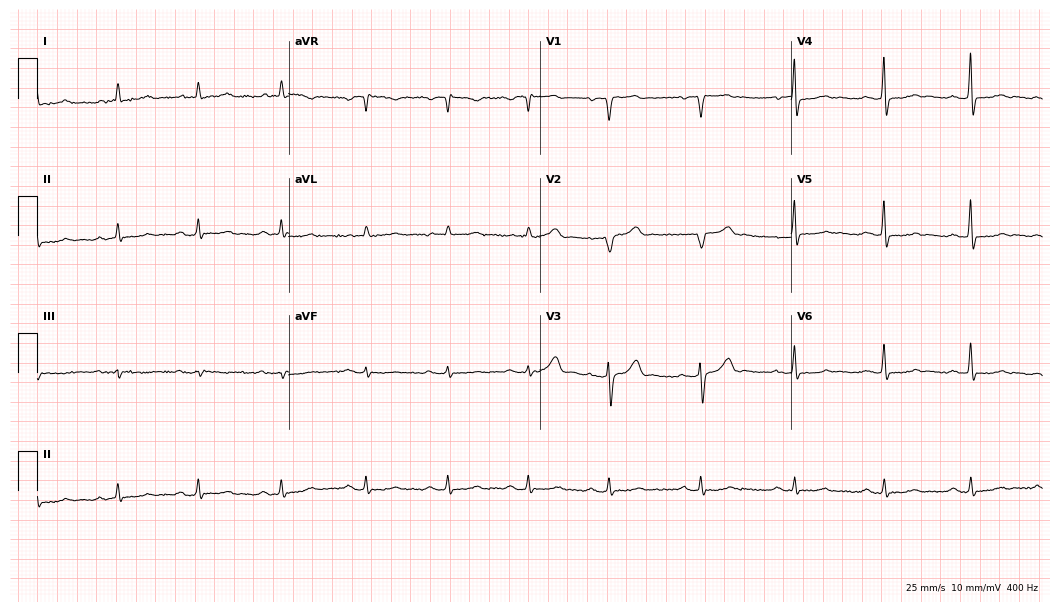
Standard 12-lead ECG recorded from an 80-year-old male (10.2-second recording at 400 Hz). None of these six findings is recorded: first-degree AV block, right bundle branch block, left bundle branch block, sinus bradycardia, atrial fibrillation, sinus tachycardia.